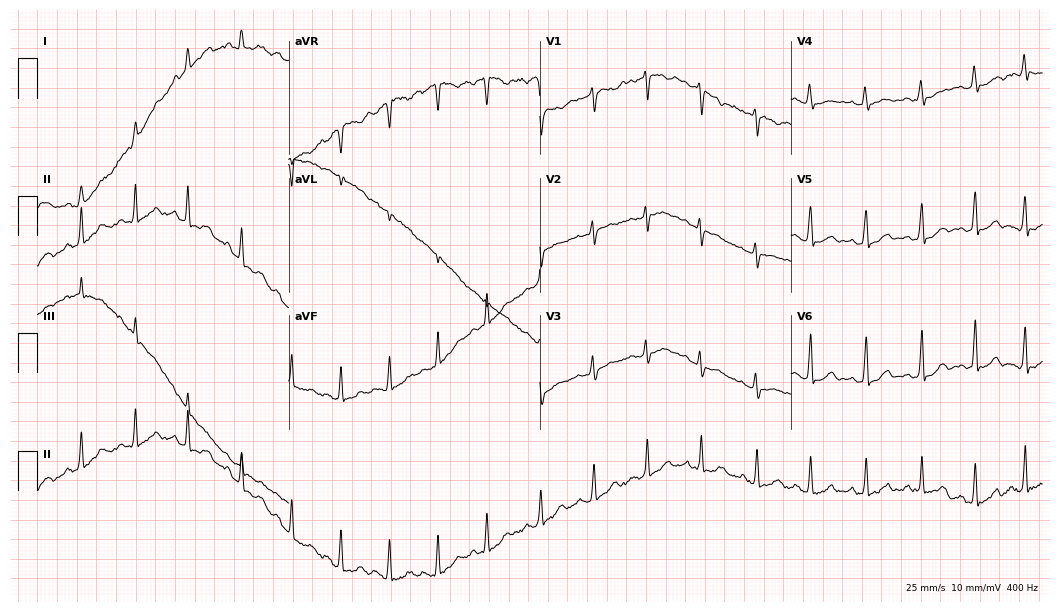
Standard 12-lead ECG recorded from a woman, 22 years old (10.2-second recording at 400 Hz). The tracing shows sinus tachycardia (a sinus rate of 100 beats per minute or more).